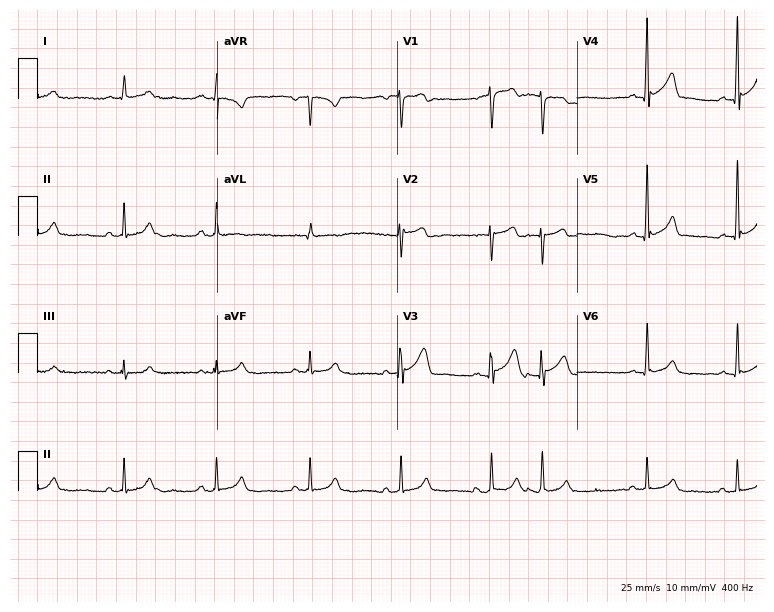
12-lead ECG from a male, 63 years old. Screened for six findings — first-degree AV block, right bundle branch block, left bundle branch block, sinus bradycardia, atrial fibrillation, sinus tachycardia — none is recorded. Only these six findings were labelled.